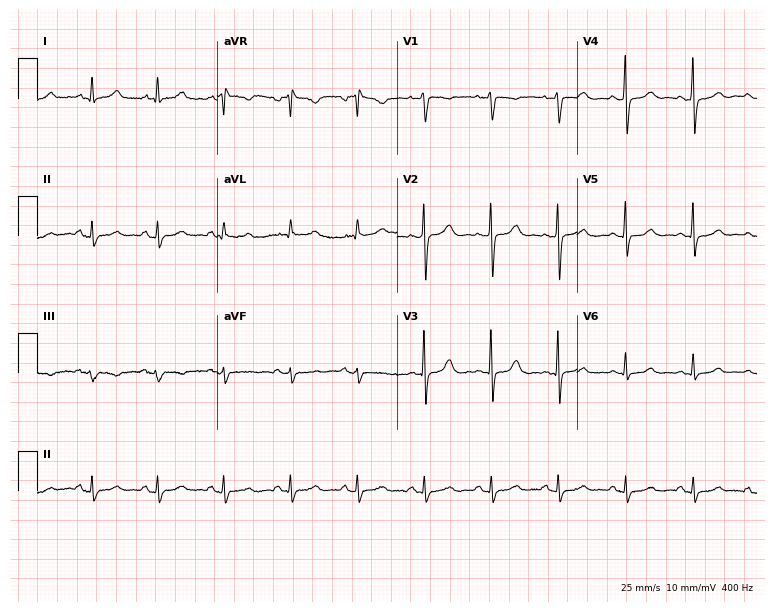
Electrocardiogram, a woman, 64 years old. Overall reading on record: normal ECG.